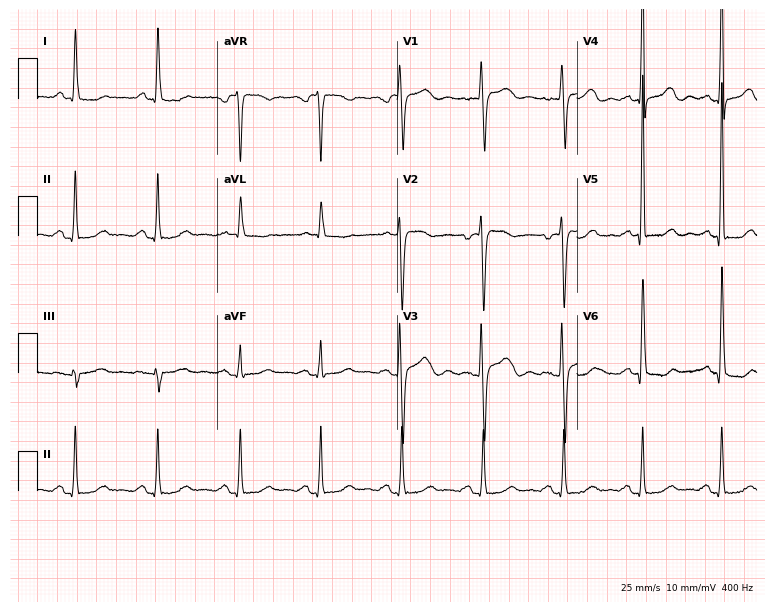
Resting 12-lead electrocardiogram. Patient: a 51-year-old female. Read as a normal ECG.